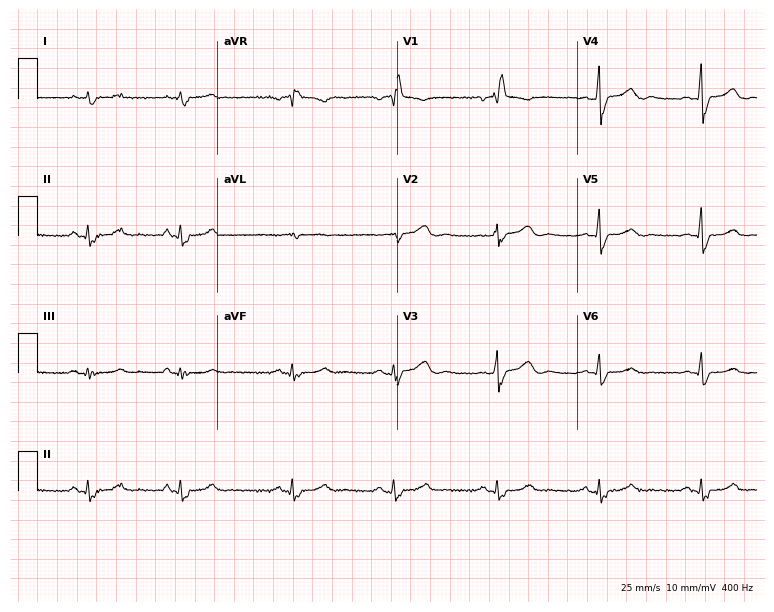
Standard 12-lead ECG recorded from a 60-year-old man. The tracing shows right bundle branch block.